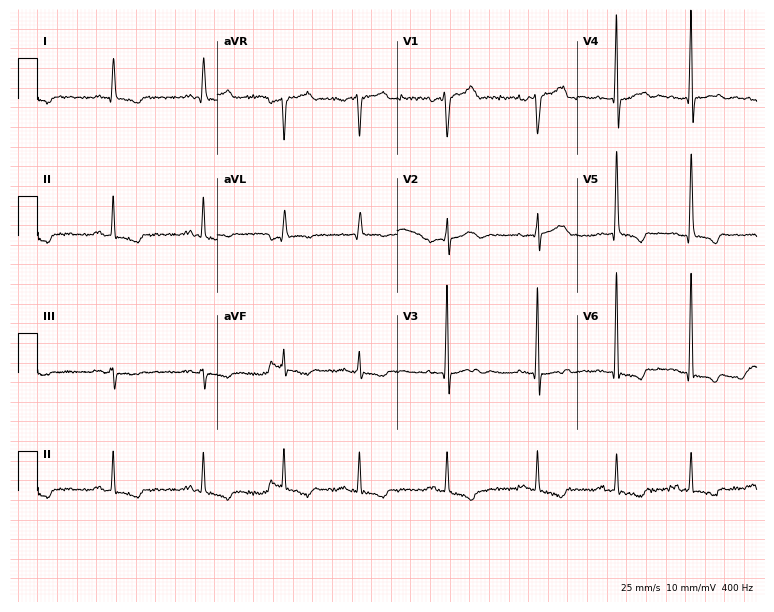
Resting 12-lead electrocardiogram (7.3-second recording at 400 Hz). Patient: a male, 59 years old. None of these six findings is recorded: first-degree AV block, right bundle branch block, left bundle branch block, sinus bradycardia, atrial fibrillation, sinus tachycardia. Findings outside these six are not listed.